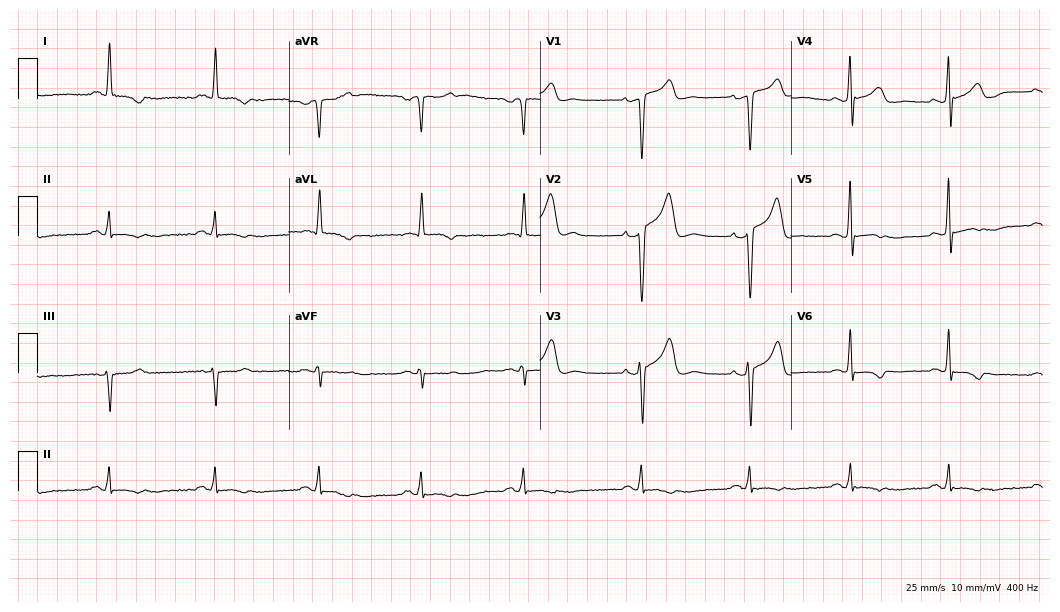
Standard 12-lead ECG recorded from a man, 58 years old (10.2-second recording at 400 Hz). None of these six findings is recorded: first-degree AV block, right bundle branch block (RBBB), left bundle branch block (LBBB), sinus bradycardia, atrial fibrillation (AF), sinus tachycardia.